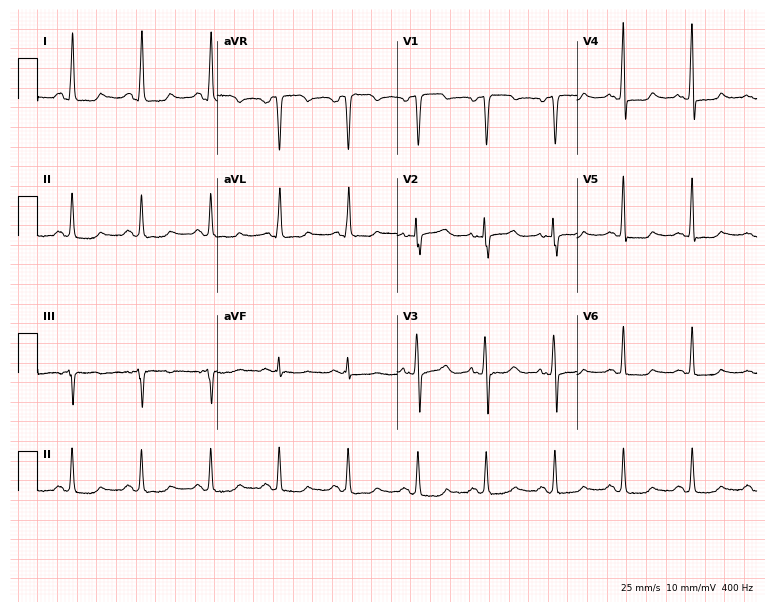
12-lead ECG from a 60-year-old woman (7.3-second recording at 400 Hz). No first-degree AV block, right bundle branch block, left bundle branch block, sinus bradycardia, atrial fibrillation or sinus tachycardia recorded for this tracing. Only these six findings were labelled.